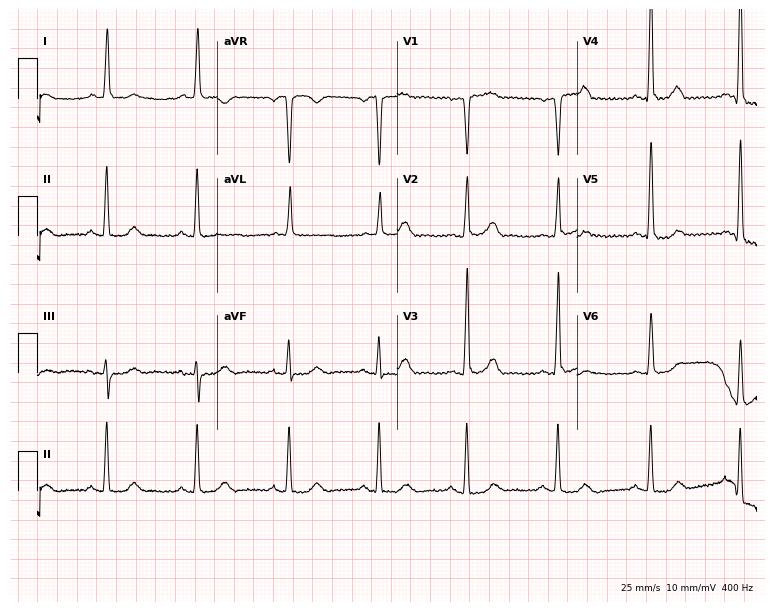
Standard 12-lead ECG recorded from a 76-year-old woman. None of these six findings is recorded: first-degree AV block, right bundle branch block, left bundle branch block, sinus bradycardia, atrial fibrillation, sinus tachycardia. Only these six findings were labelled.